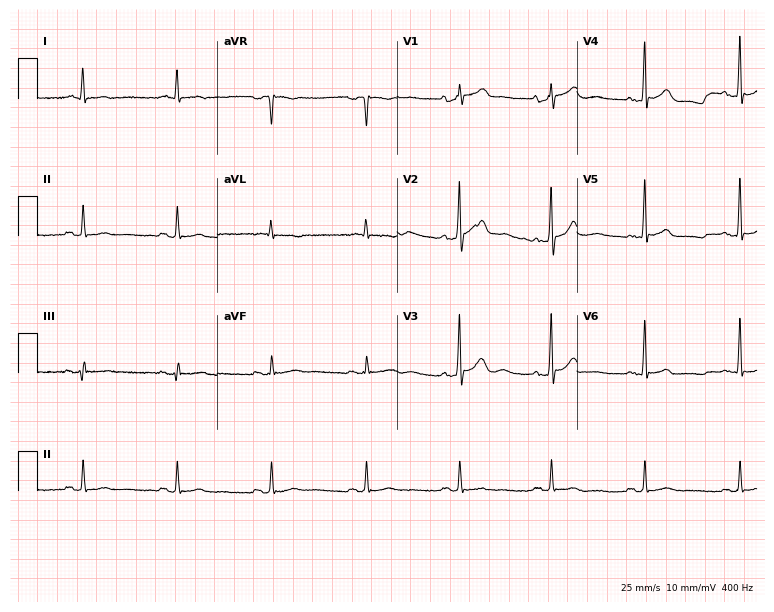
Electrocardiogram (7.3-second recording at 400 Hz), a male patient, 59 years old. Of the six screened findings (first-degree AV block, right bundle branch block (RBBB), left bundle branch block (LBBB), sinus bradycardia, atrial fibrillation (AF), sinus tachycardia), none is recorded. Only these six findings were labelled.